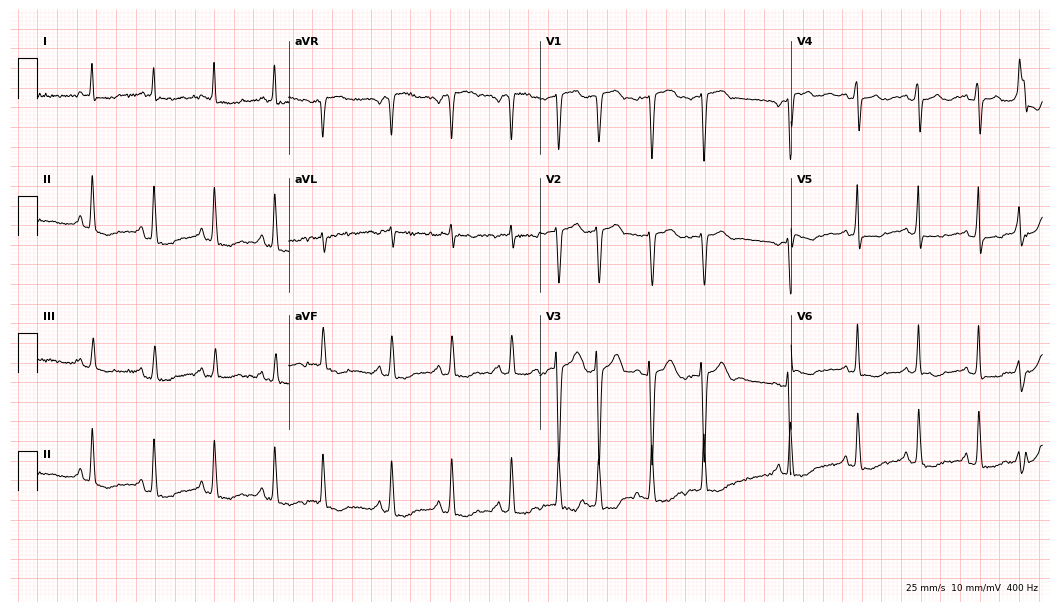
ECG (10.2-second recording at 400 Hz) — a woman, 73 years old. Screened for six findings — first-degree AV block, right bundle branch block, left bundle branch block, sinus bradycardia, atrial fibrillation, sinus tachycardia — none is recorded. Only these six findings were labelled.